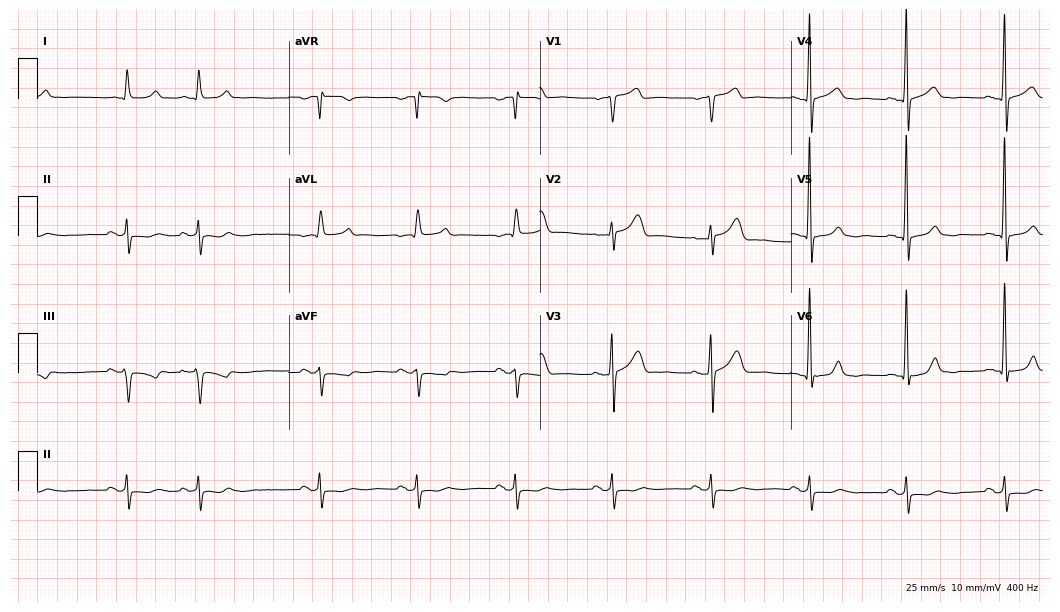
Standard 12-lead ECG recorded from a man, 83 years old (10.2-second recording at 400 Hz). None of these six findings is recorded: first-degree AV block, right bundle branch block (RBBB), left bundle branch block (LBBB), sinus bradycardia, atrial fibrillation (AF), sinus tachycardia. Only these six findings were labelled.